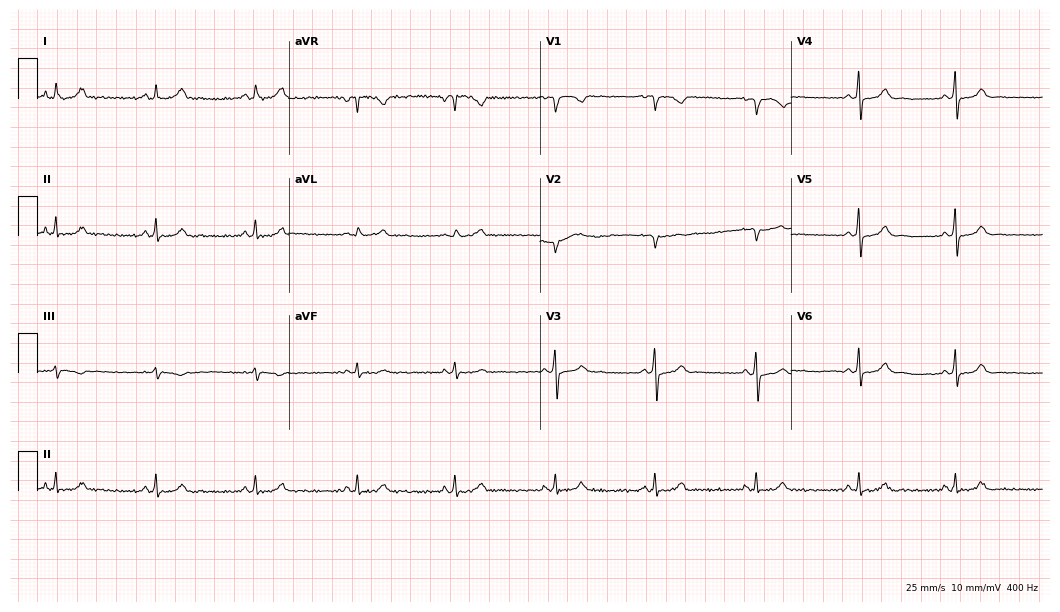
Standard 12-lead ECG recorded from a female, 23 years old. Read as a normal ECG.